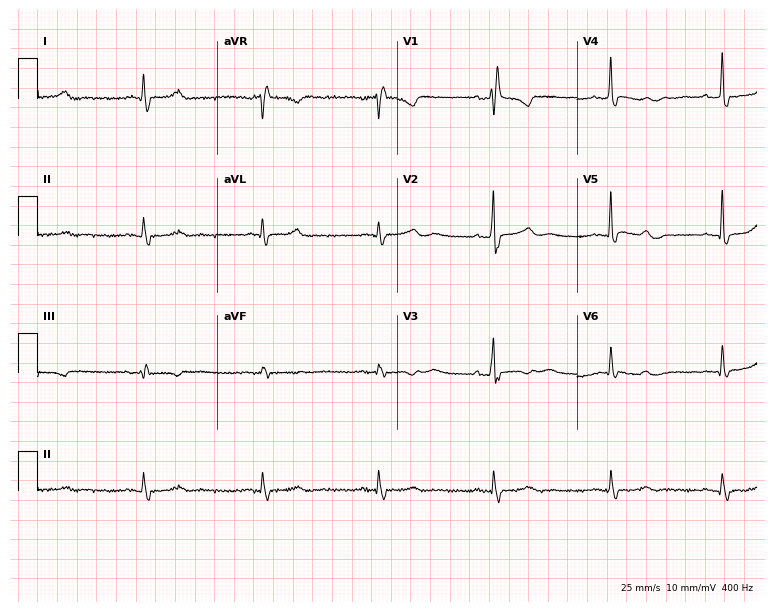
Standard 12-lead ECG recorded from a female, 63 years old. The tracing shows right bundle branch block.